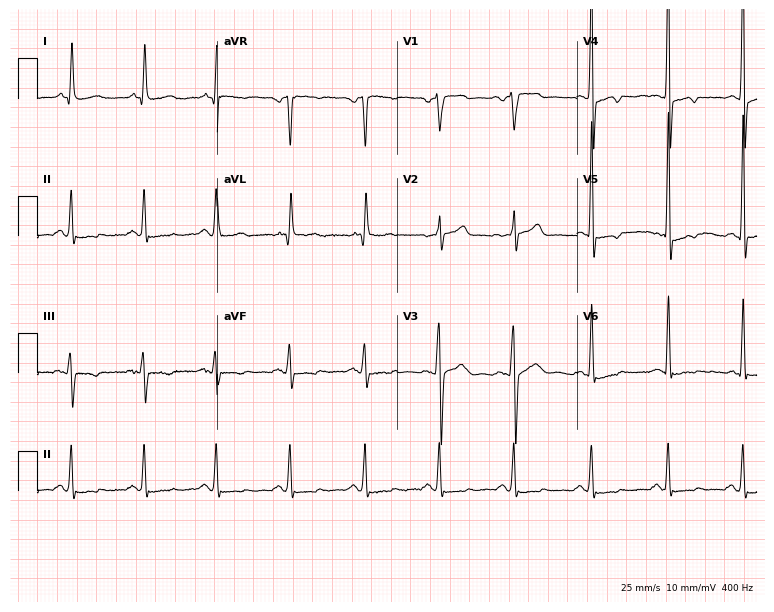
ECG — a 67-year-old man. Screened for six findings — first-degree AV block, right bundle branch block, left bundle branch block, sinus bradycardia, atrial fibrillation, sinus tachycardia — none is recorded.